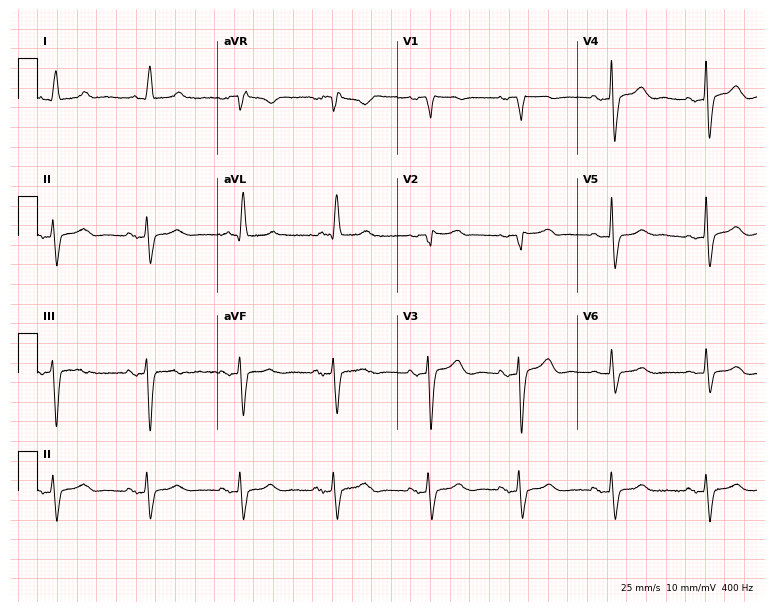
ECG (7.3-second recording at 400 Hz) — a female patient, 85 years old. Screened for six findings — first-degree AV block, right bundle branch block, left bundle branch block, sinus bradycardia, atrial fibrillation, sinus tachycardia — none is recorded. Only these six findings were labelled.